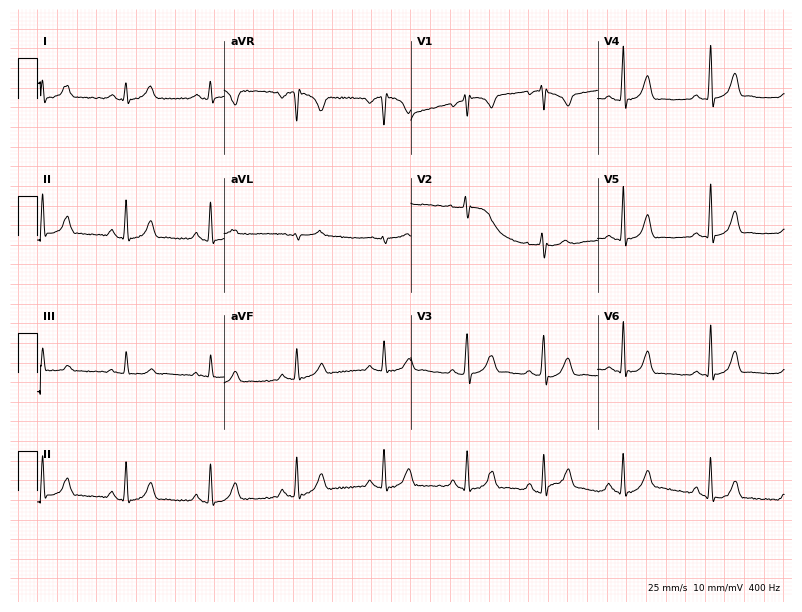
12-lead ECG from a 21-year-old female (7.6-second recording at 400 Hz). Recorded interpretation: within normal limits.